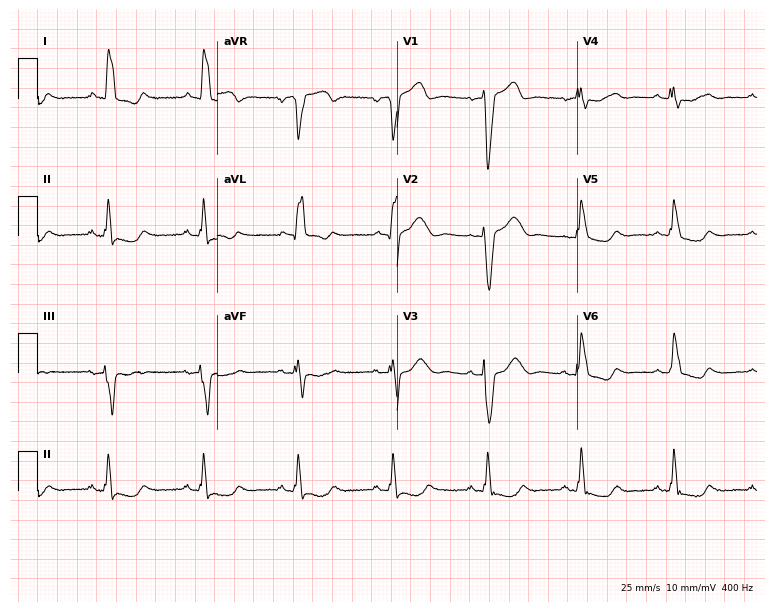
Resting 12-lead electrocardiogram (7.3-second recording at 400 Hz). Patient: a 66-year-old female. The tracing shows left bundle branch block (LBBB).